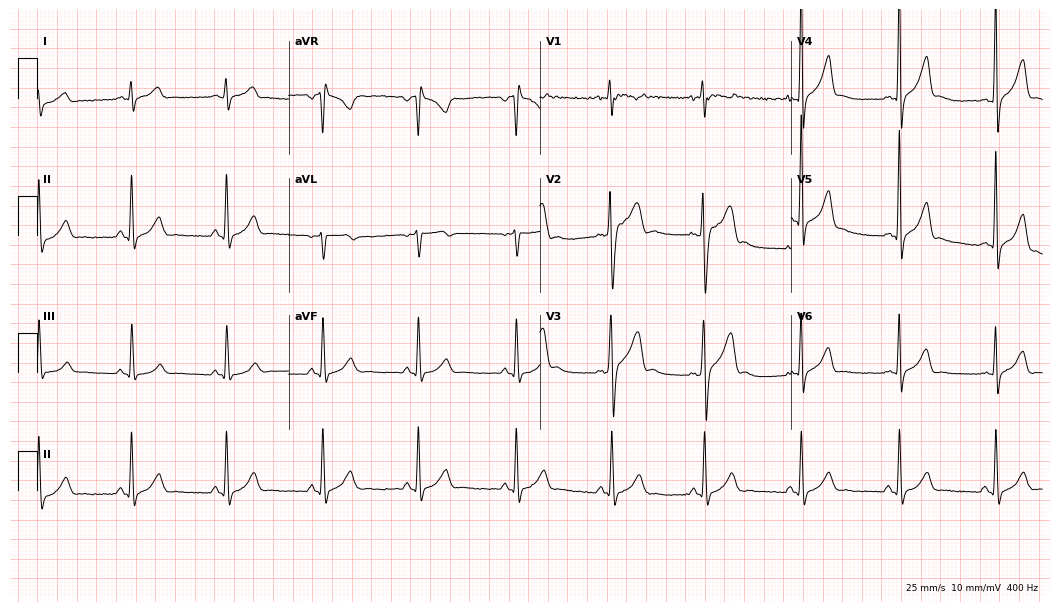
12-lead ECG (10.2-second recording at 400 Hz) from a 21-year-old man. Screened for six findings — first-degree AV block, right bundle branch block (RBBB), left bundle branch block (LBBB), sinus bradycardia, atrial fibrillation (AF), sinus tachycardia — none is recorded.